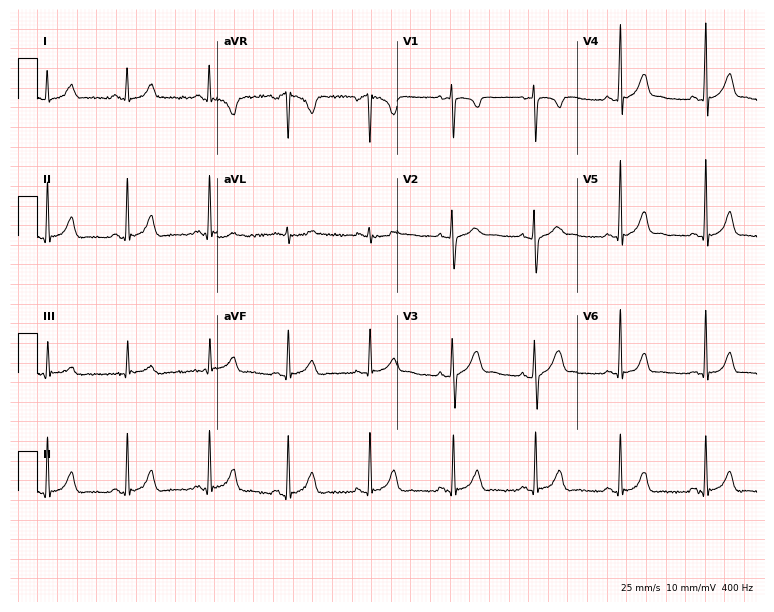
Resting 12-lead electrocardiogram (7.3-second recording at 400 Hz). Patient: a 27-year-old female. Read as a normal ECG.